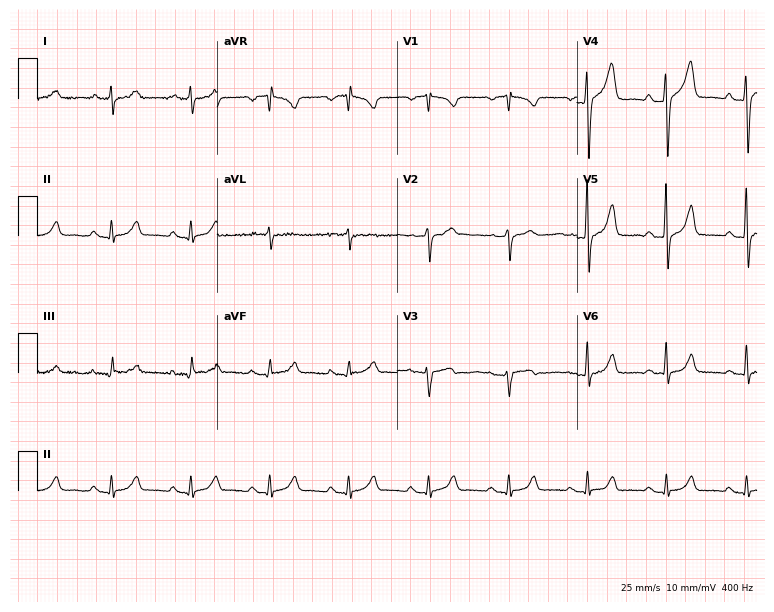
12-lead ECG (7.3-second recording at 400 Hz) from a 77-year-old female patient. Labelled as a normal ECG.